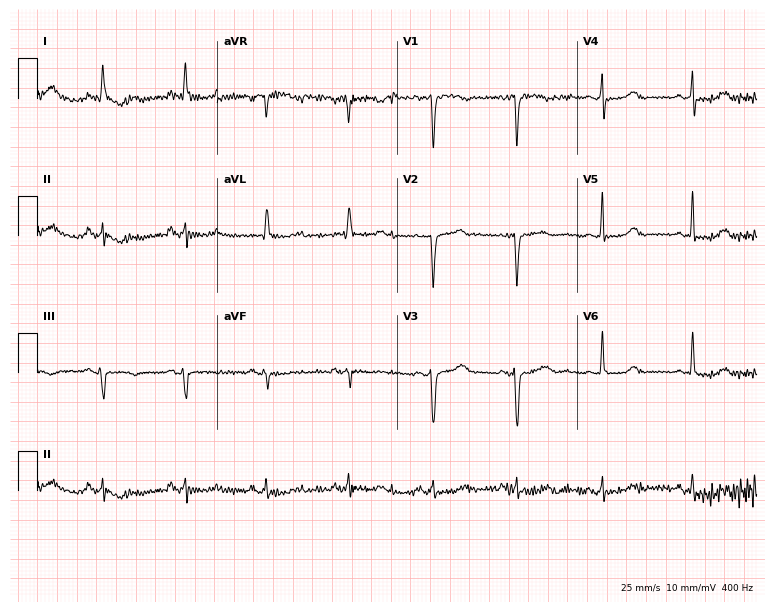
12-lead ECG (7.3-second recording at 400 Hz) from a woman, 47 years old. Screened for six findings — first-degree AV block, right bundle branch block, left bundle branch block, sinus bradycardia, atrial fibrillation, sinus tachycardia — none is recorded.